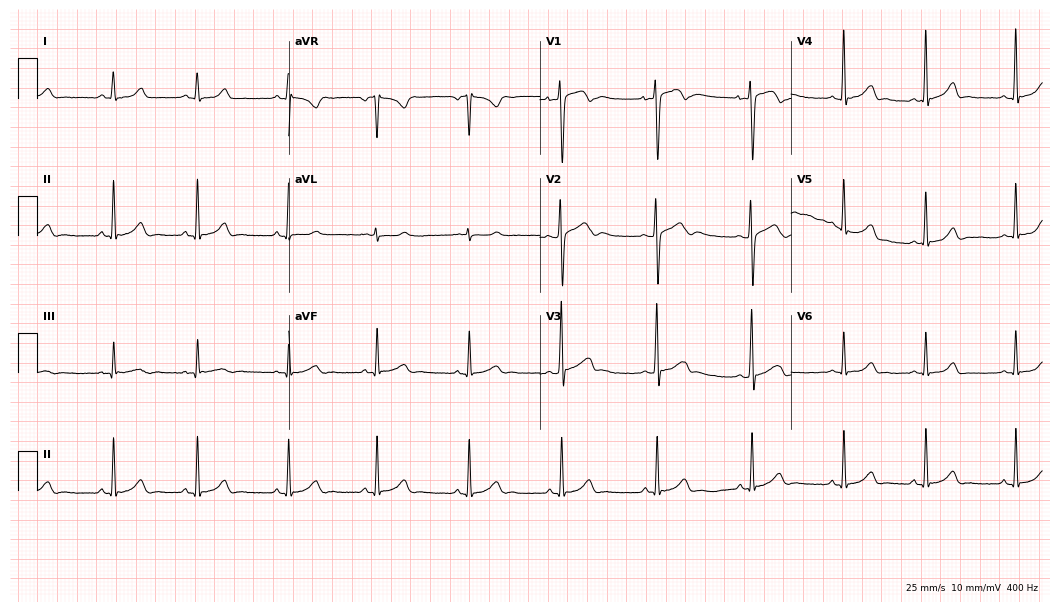
12-lead ECG from a man, 17 years old. Recorded interpretation: within normal limits.